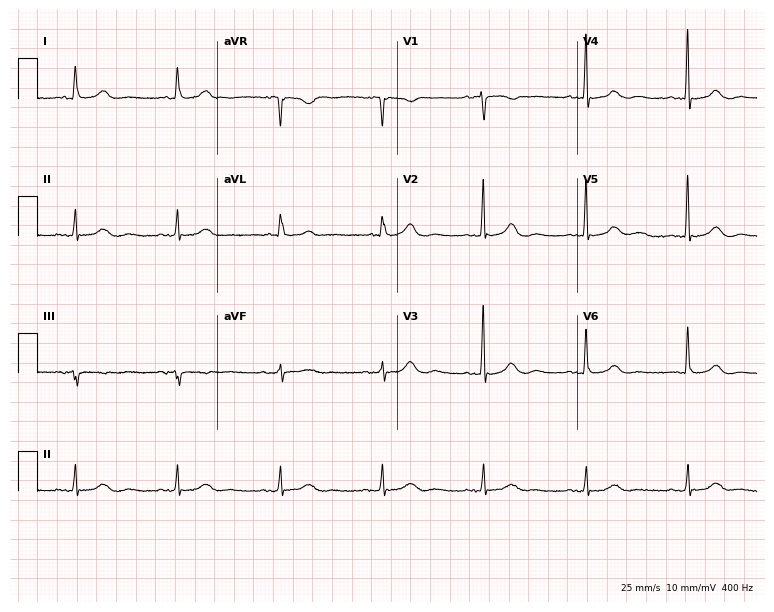
12-lead ECG from a 75-year-old woman. No first-degree AV block, right bundle branch block, left bundle branch block, sinus bradycardia, atrial fibrillation or sinus tachycardia recorded for this tracing.